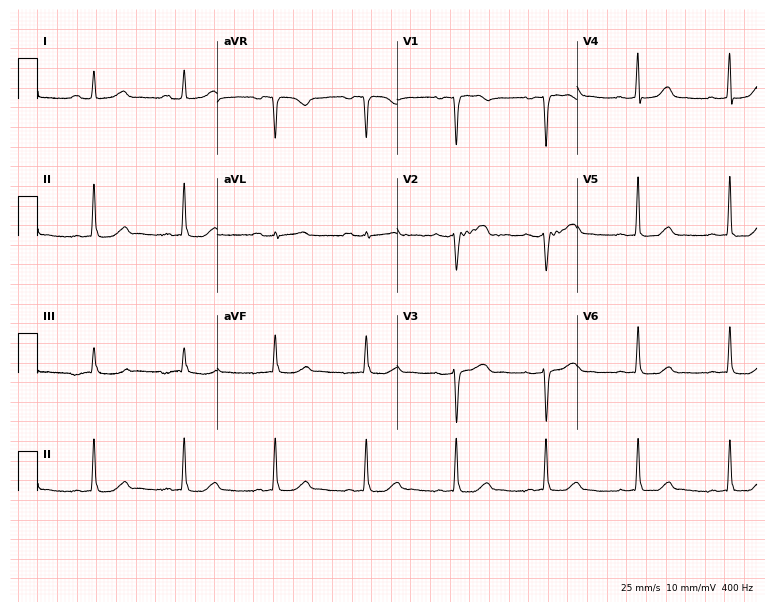
12-lead ECG from a 62-year-old female patient. Labelled as a normal ECG.